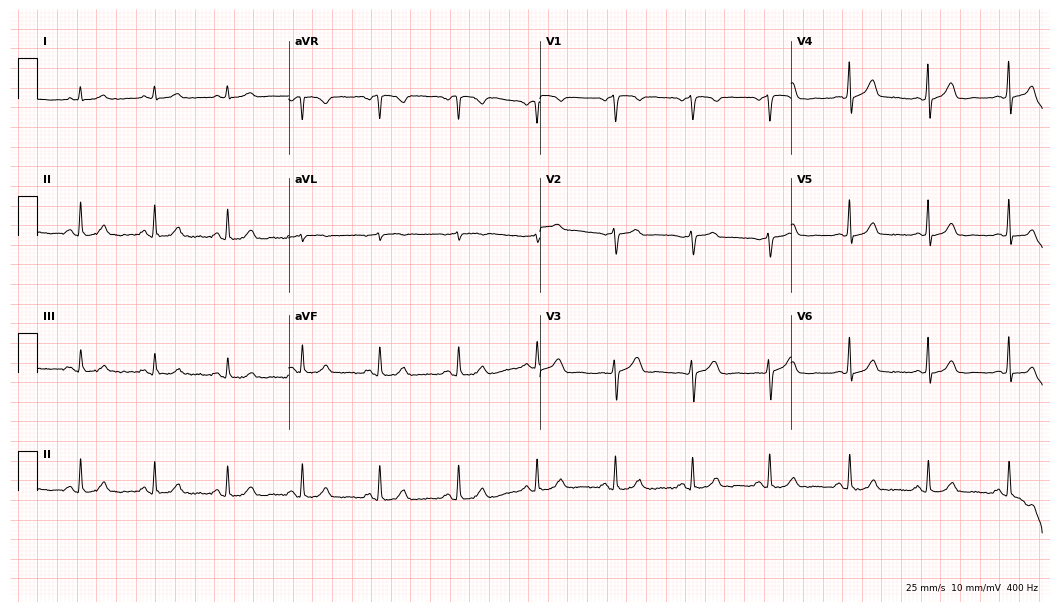
Electrocardiogram (10.2-second recording at 400 Hz), a female patient, 61 years old. Overall reading on record: normal ECG.